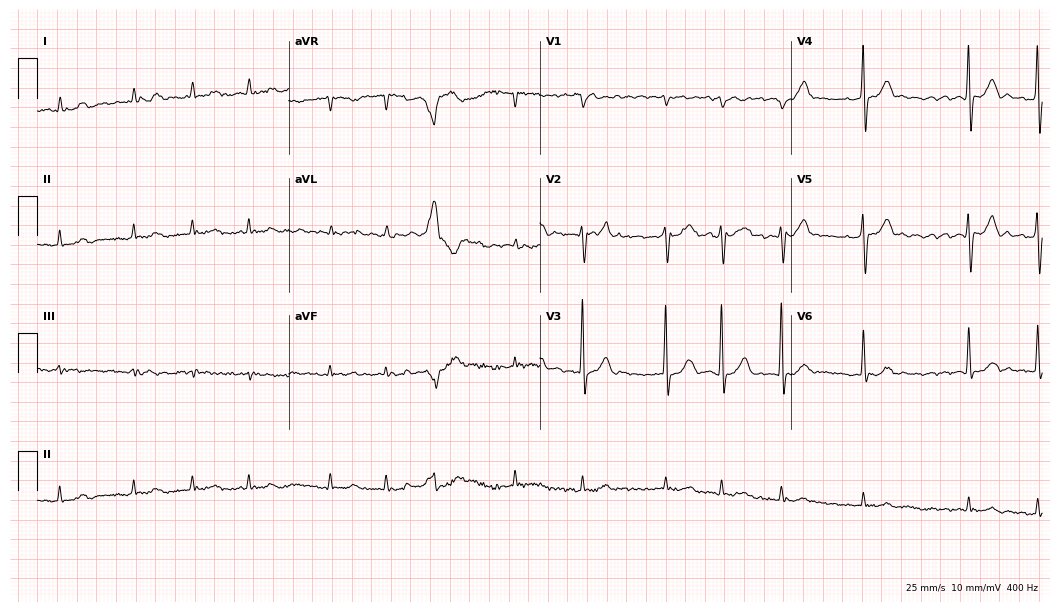
Standard 12-lead ECG recorded from a 73-year-old male (10.2-second recording at 400 Hz). The tracing shows atrial fibrillation.